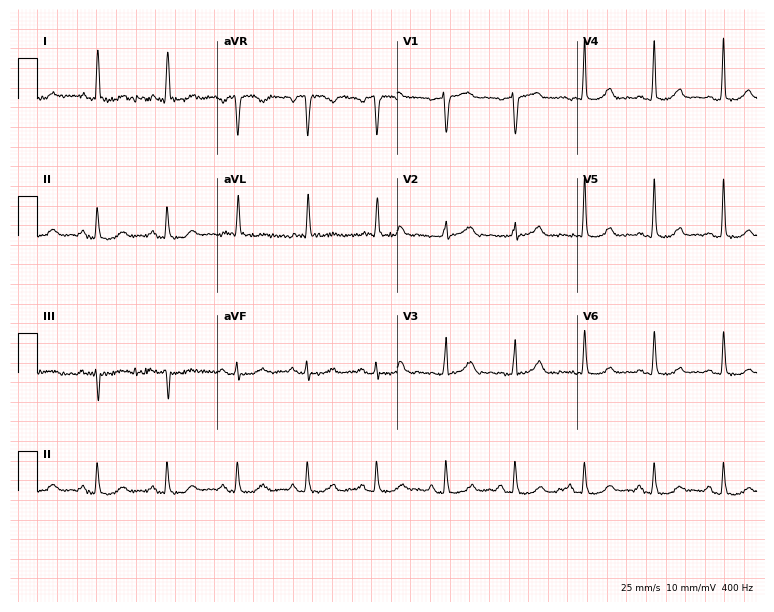
ECG — an 83-year-old female patient. Labelled as a normal ECG.